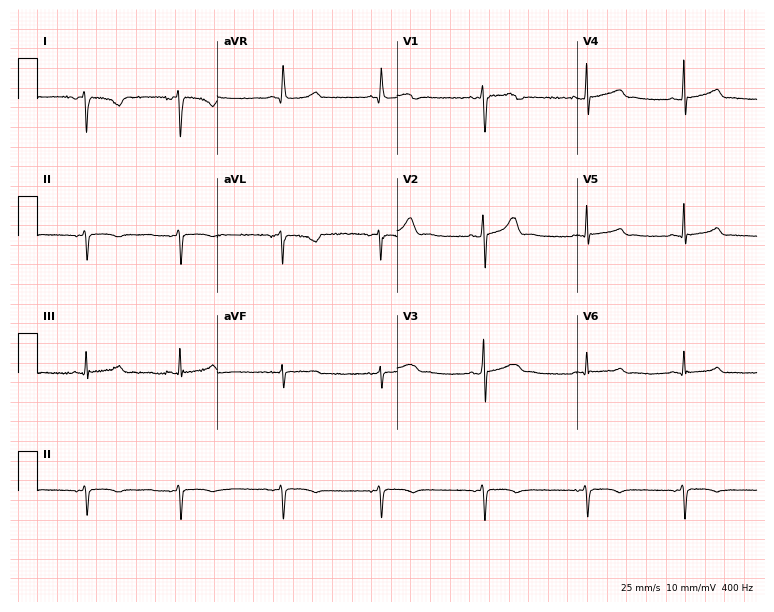
12-lead ECG (7.3-second recording at 400 Hz) from a 17-year-old woman. Screened for six findings — first-degree AV block, right bundle branch block, left bundle branch block, sinus bradycardia, atrial fibrillation, sinus tachycardia — none is recorded.